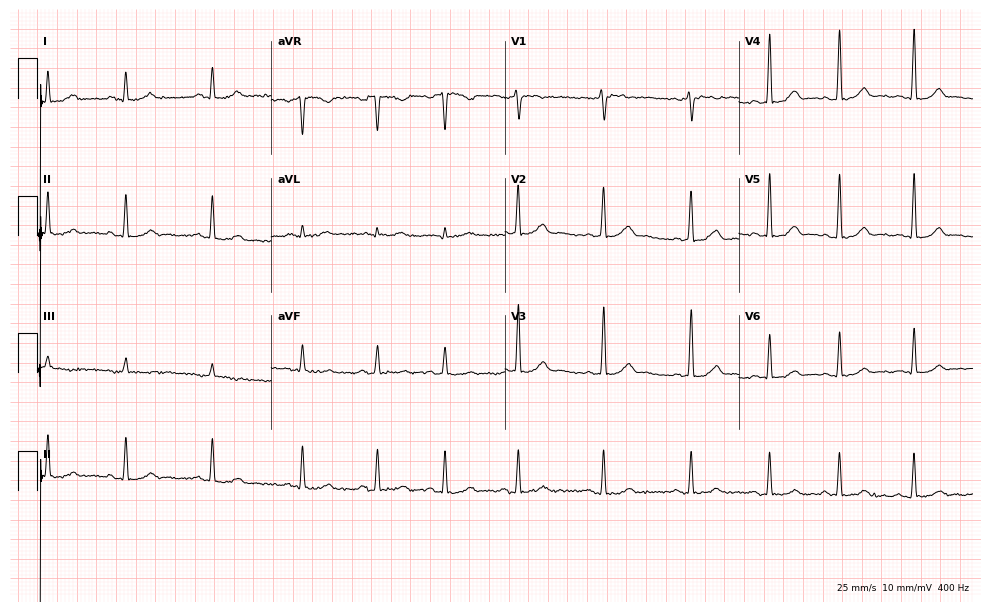
Standard 12-lead ECG recorded from a 17-year-old female (9.5-second recording at 400 Hz). None of these six findings is recorded: first-degree AV block, right bundle branch block (RBBB), left bundle branch block (LBBB), sinus bradycardia, atrial fibrillation (AF), sinus tachycardia. Findings outside these six are not listed.